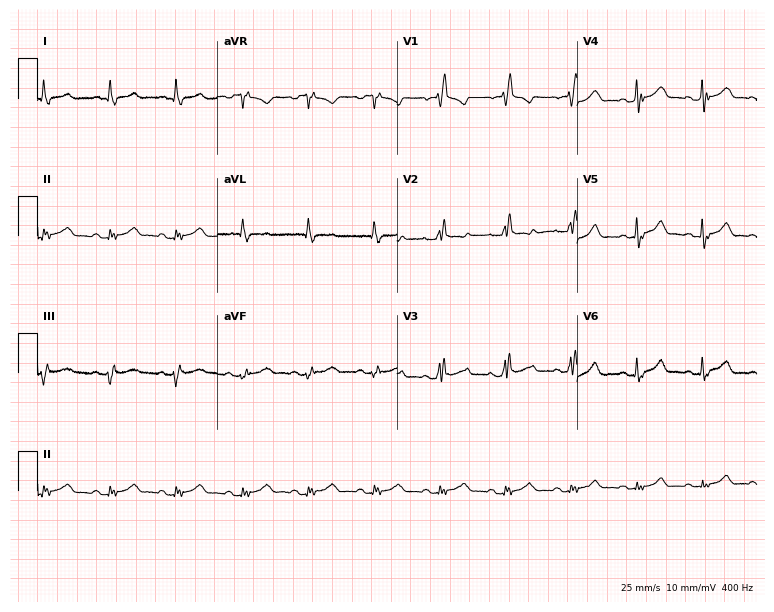
ECG (7.3-second recording at 400 Hz) — a male, 82 years old. Screened for six findings — first-degree AV block, right bundle branch block (RBBB), left bundle branch block (LBBB), sinus bradycardia, atrial fibrillation (AF), sinus tachycardia — none is recorded. Only these six findings were labelled.